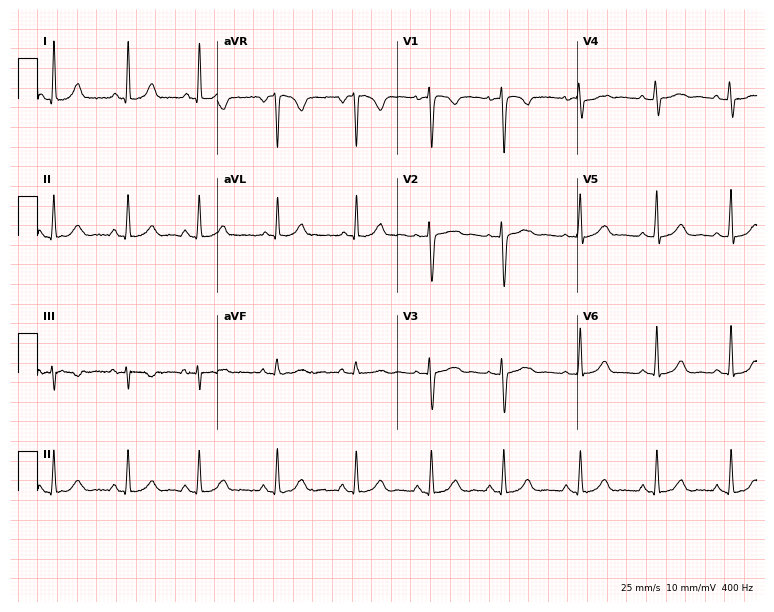
12-lead ECG from a woman, 30 years old (7.3-second recording at 400 Hz). Recorded interpretation: within normal limits.